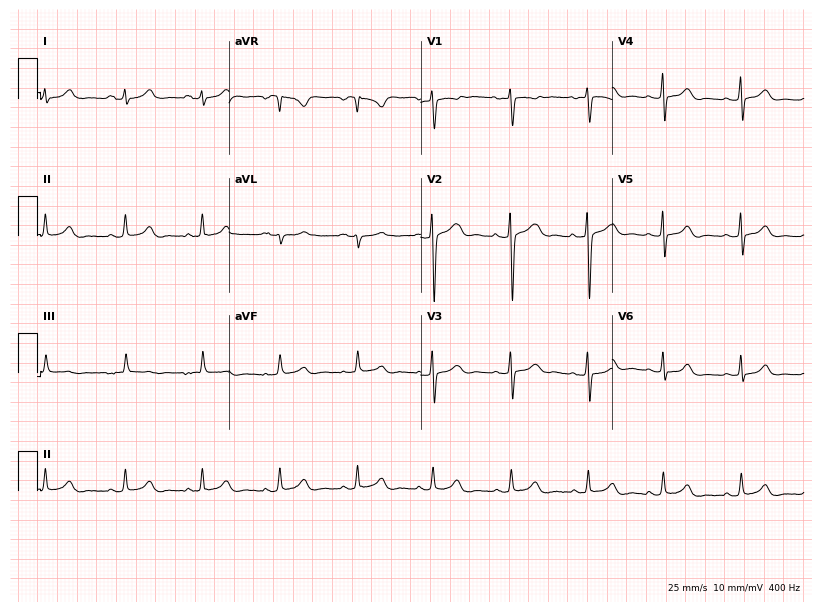
ECG (7.8-second recording at 400 Hz) — a woman, 26 years old. Labelled as a normal ECG.